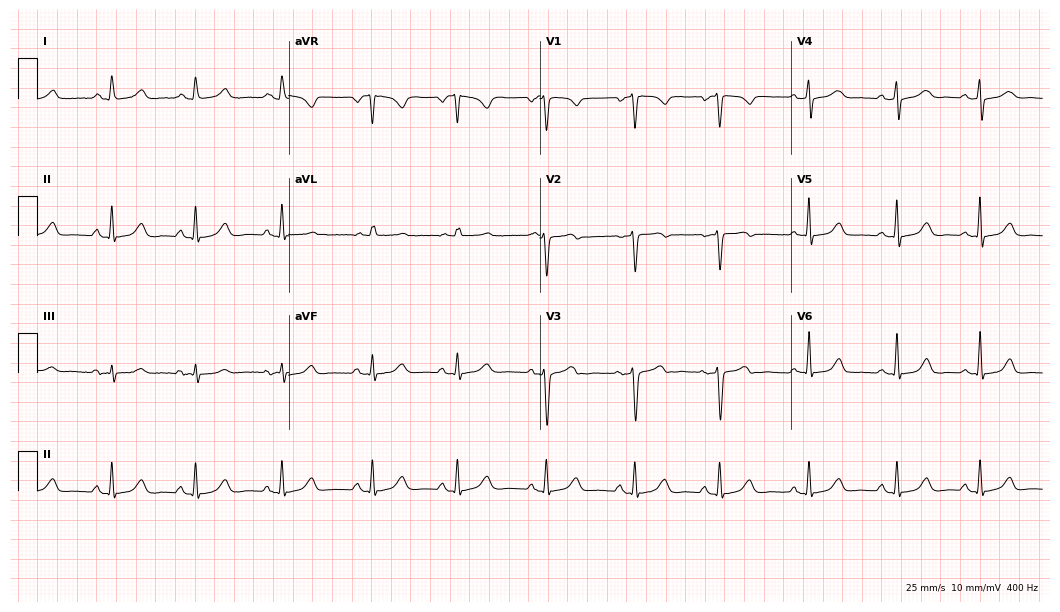
Standard 12-lead ECG recorded from a 42-year-old female. Read as a normal ECG.